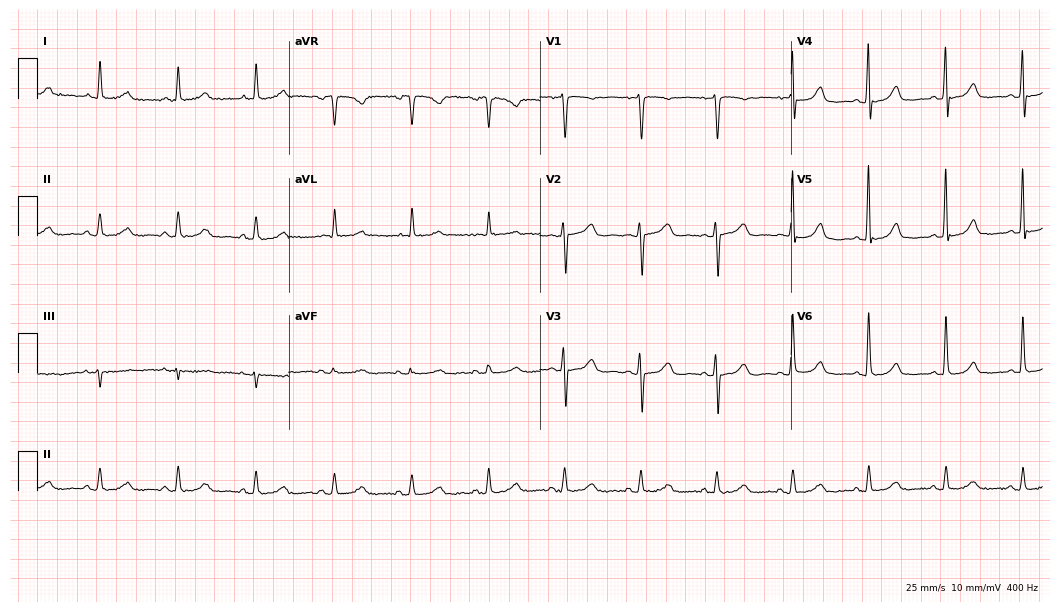
Resting 12-lead electrocardiogram. Patient: a male, 69 years old. Read as a normal ECG.